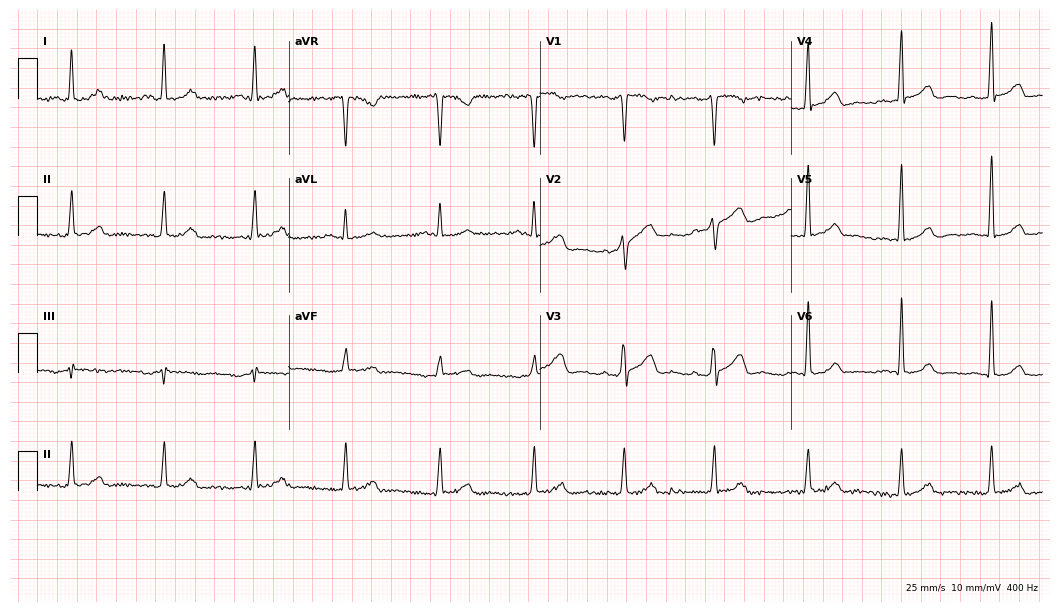
ECG (10.2-second recording at 400 Hz) — a 59-year-old male patient. Screened for six findings — first-degree AV block, right bundle branch block (RBBB), left bundle branch block (LBBB), sinus bradycardia, atrial fibrillation (AF), sinus tachycardia — none is recorded. Findings outside these six are not listed.